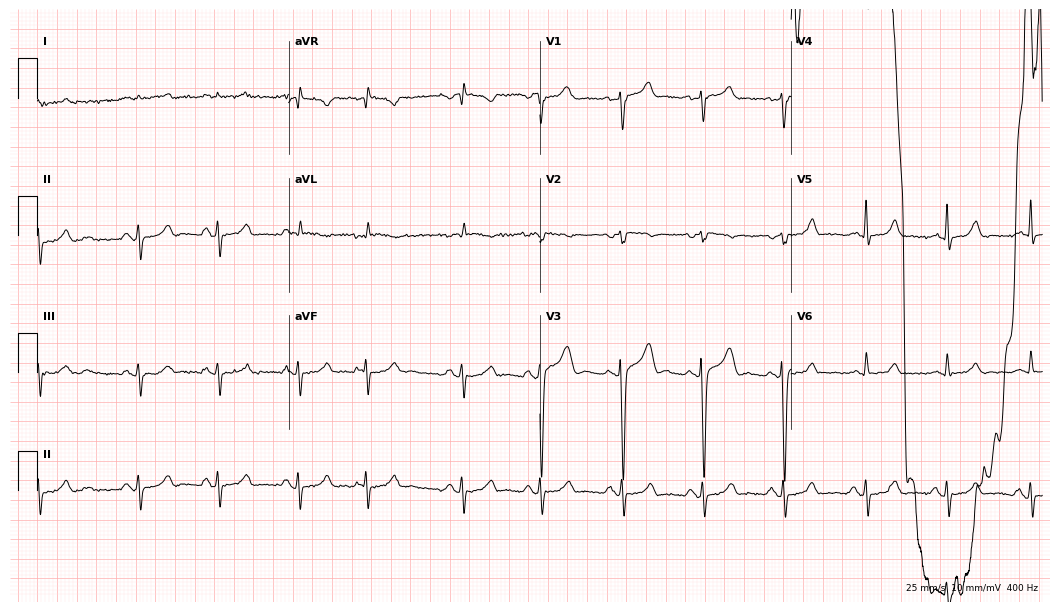
Standard 12-lead ECG recorded from a female patient, 49 years old. None of these six findings is recorded: first-degree AV block, right bundle branch block (RBBB), left bundle branch block (LBBB), sinus bradycardia, atrial fibrillation (AF), sinus tachycardia.